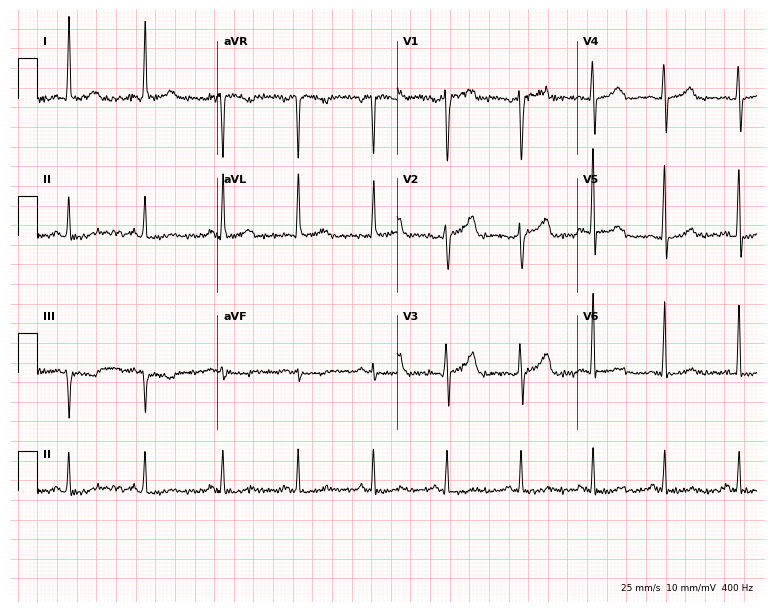
Electrocardiogram, a 55-year-old woman. Of the six screened findings (first-degree AV block, right bundle branch block, left bundle branch block, sinus bradycardia, atrial fibrillation, sinus tachycardia), none is recorded. Only these six findings were labelled.